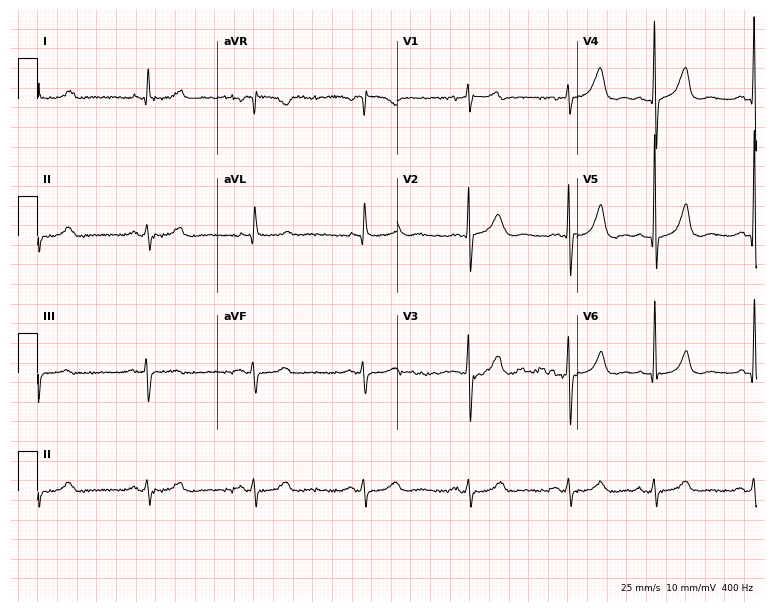
12-lead ECG from a male patient, 74 years old. Screened for six findings — first-degree AV block, right bundle branch block, left bundle branch block, sinus bradycardia, atrial fibrillation, sinus tachycardia — none is recorded. Other findings, if any, are not listed.